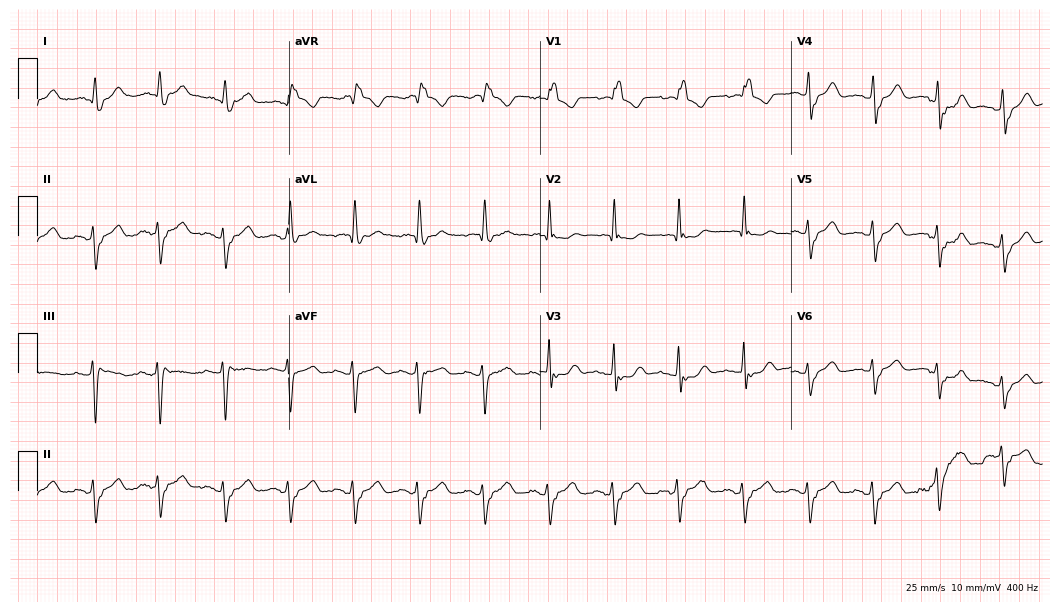
12-lead ECG (10.2-second recording at 400 Hz) from a woman, 85 years old. Findings include right bundle branch block.